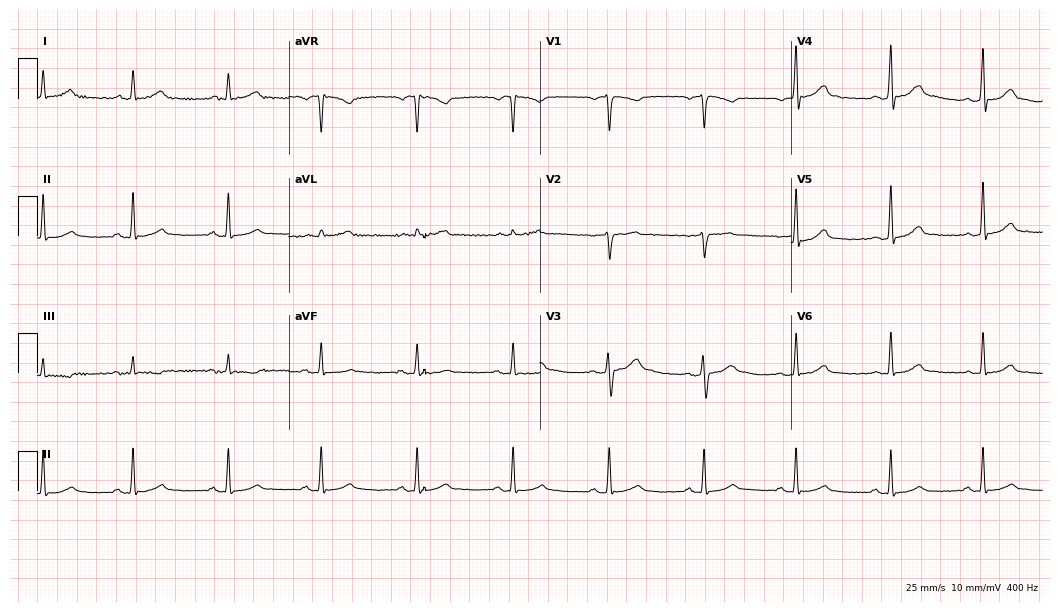
Resting 12-lead electrocardiogram. Patient: a man, 44 years old. None of these six findings is recorded: first-degree AV block, right bundle branch block (RBBB), left bundle branch block (LBBB), sinus bradycardia, atrial fibrillation (AF), sinus tachycardia. Only these six findings were labelled.